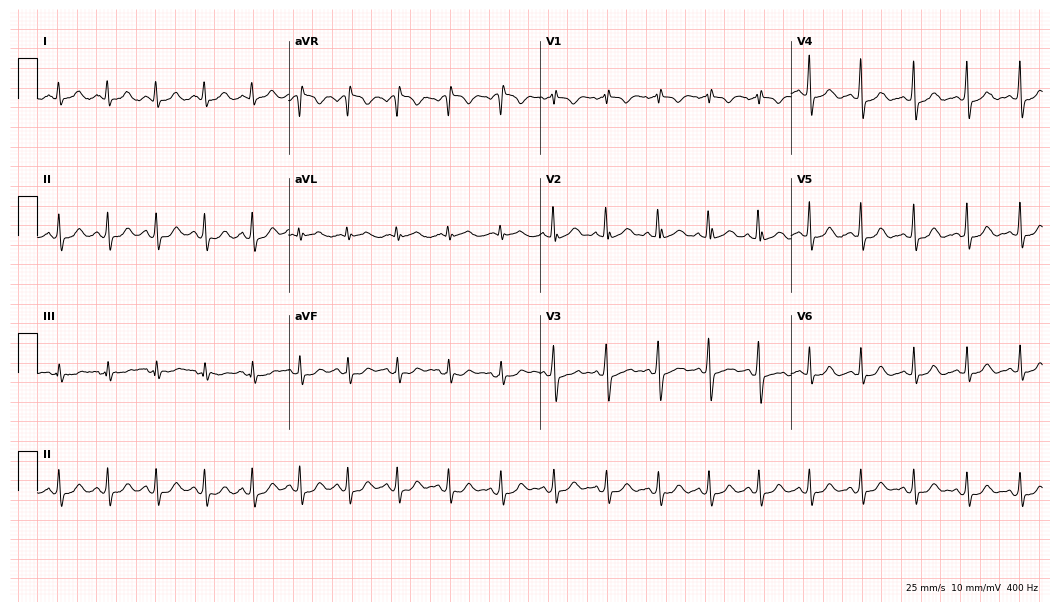
ECG — a woman, 20 years old. Findings include sinus tachycardia (a sinus rate of 100 beats per minute or more).